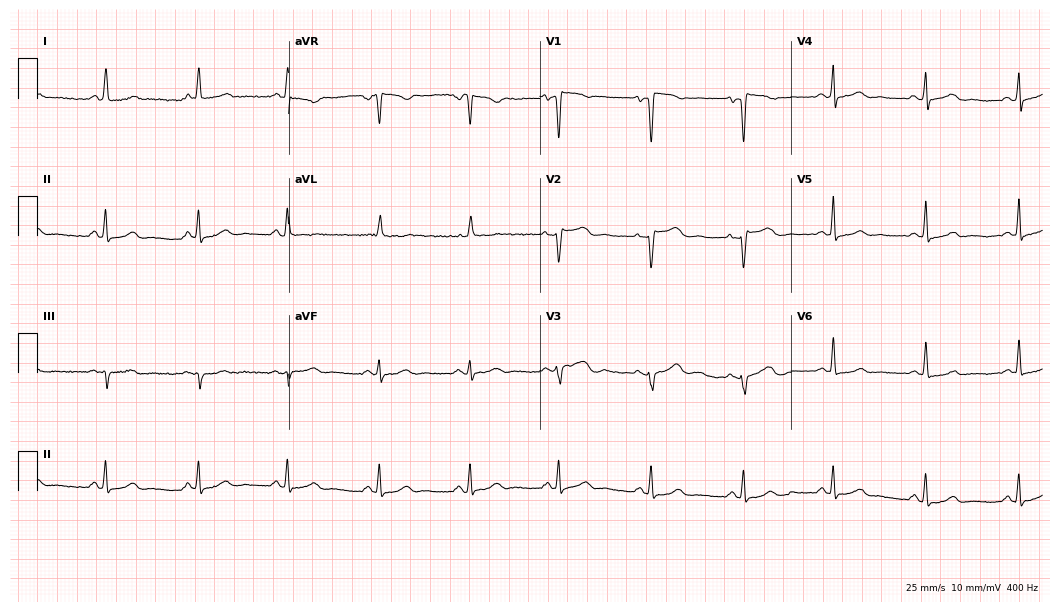
Resting 12-lead electrocardiogram. Patient: a female, 42 years old. None of these six findings is recorded: first-degree AV block, right bundle branch block (RBBB), left bundle branch block (LBBB), sinus bradycardia, atrial fibrillation (AF), sinus tachycardia. Findings outside these six are not listed.